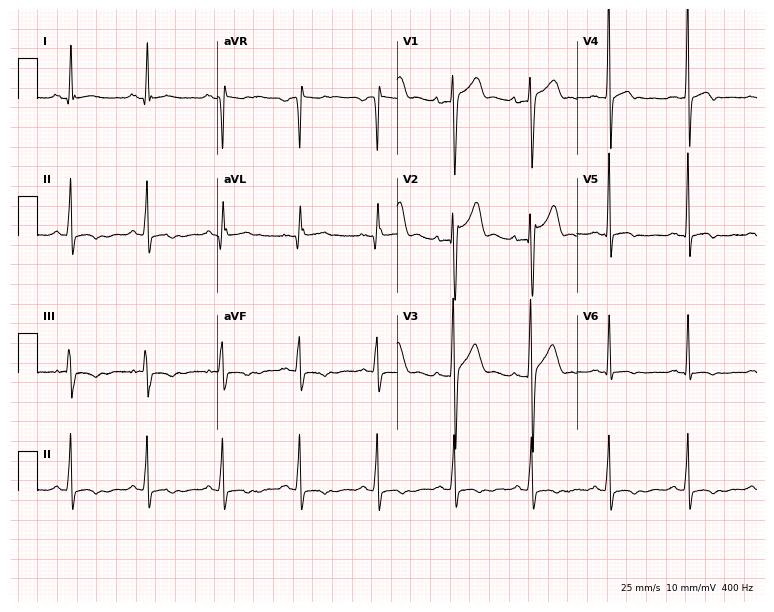
12-lead ECG from a man, 19 years old. Screened for six findings — first-degree AV block, right bundle branch block, left bundle branch block, sinus bradycardia, atrial fibrillation, sinus tachycardia — none is recorded.